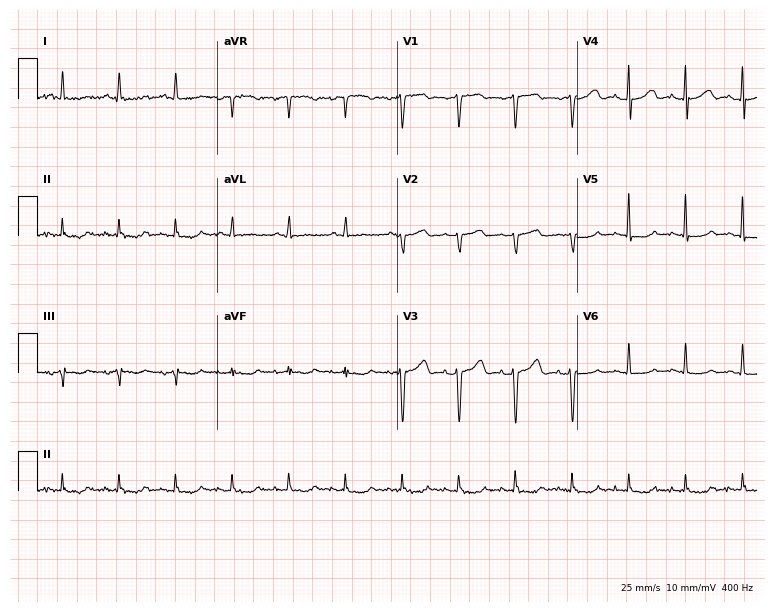
Electrocardiogram, a 70-year-old female. Interpretation includes sinus tachycardia (a sinus rate of 100 beats per minute or more).